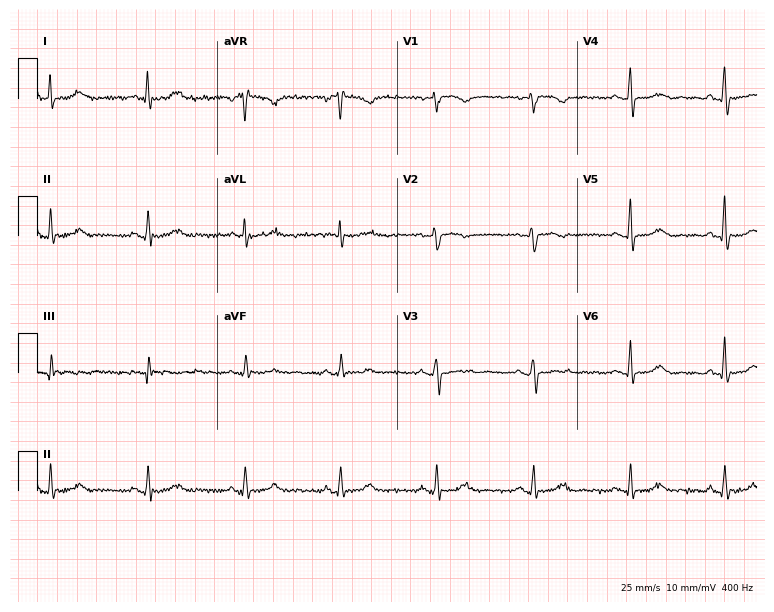
12-lead ECG (7.3-second recording at 400 Hz) from a female, 66 years old. Screened for six findings — first-degree AV block, right bundle branch block, left bundle branch block, sinus bradycardia, atrial fibrillation, sinus tachycardia — none is recorded. Other findings, if any, are not listed.